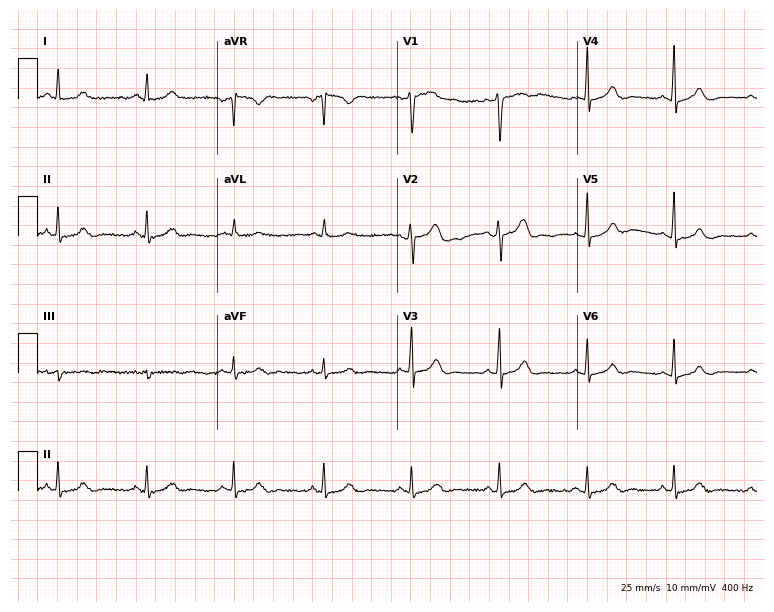
ECG (7.3-second recording at 400 Hz) — a woman, 52 years old. Screened for six findings — first-degree AV block, right bundle branch block, left bundle branch block, sinus bradycardia, atrial fibrillation, sinus tachycardia — none is recorded.